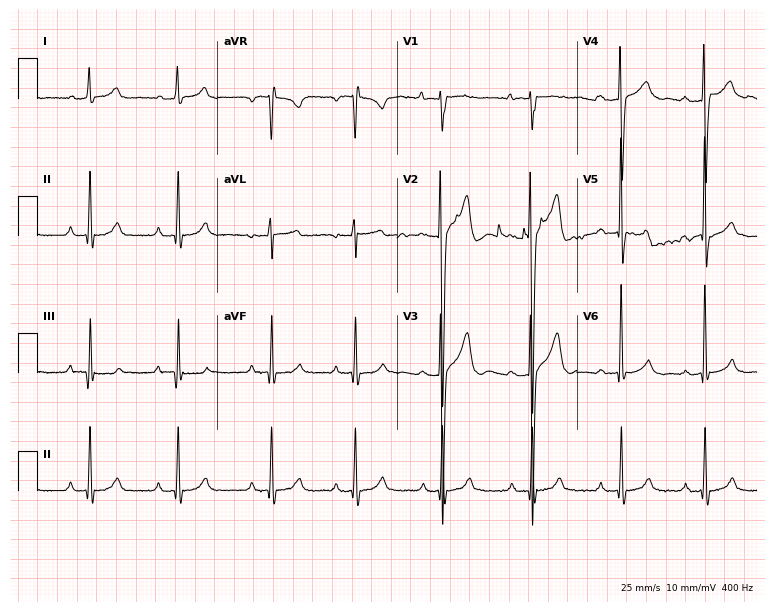
Standard 12-lead ECG recorded from a male patient, 17 years old. Read as a normal ECG.